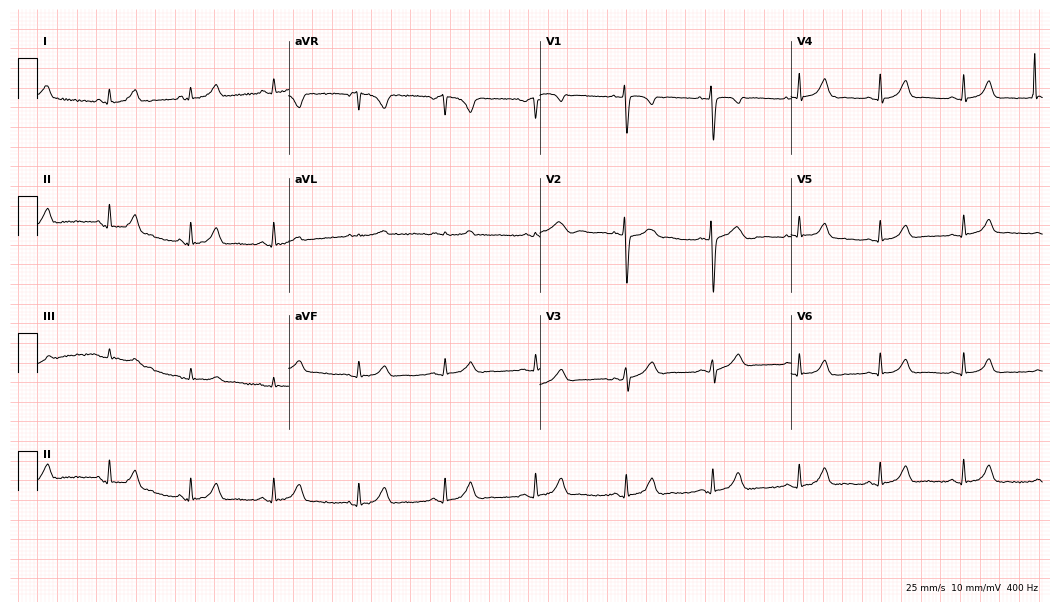
Electrocardiogram, a 23-year-old female. Overall reading on record: normal ECG.